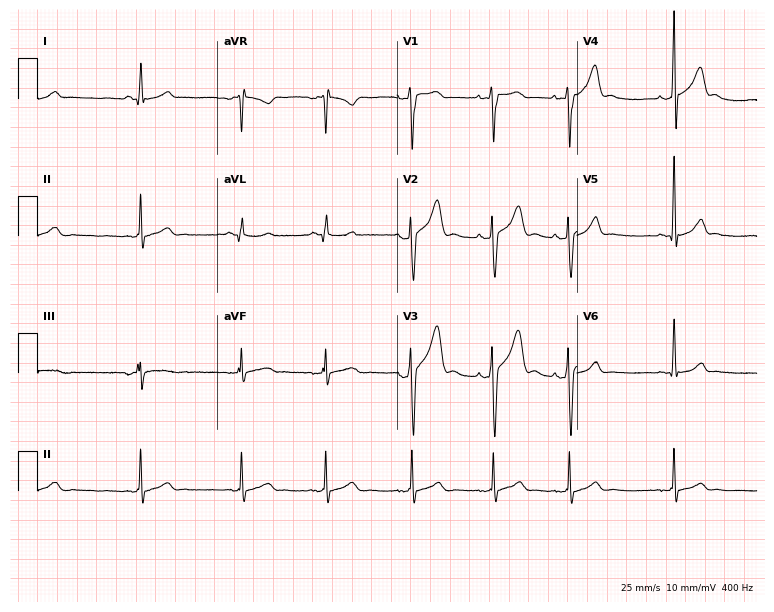
12-lead ECG (7.3-second recording at 400 Hz) from a 19-year-old male patient. Labelled as a normal ECG.